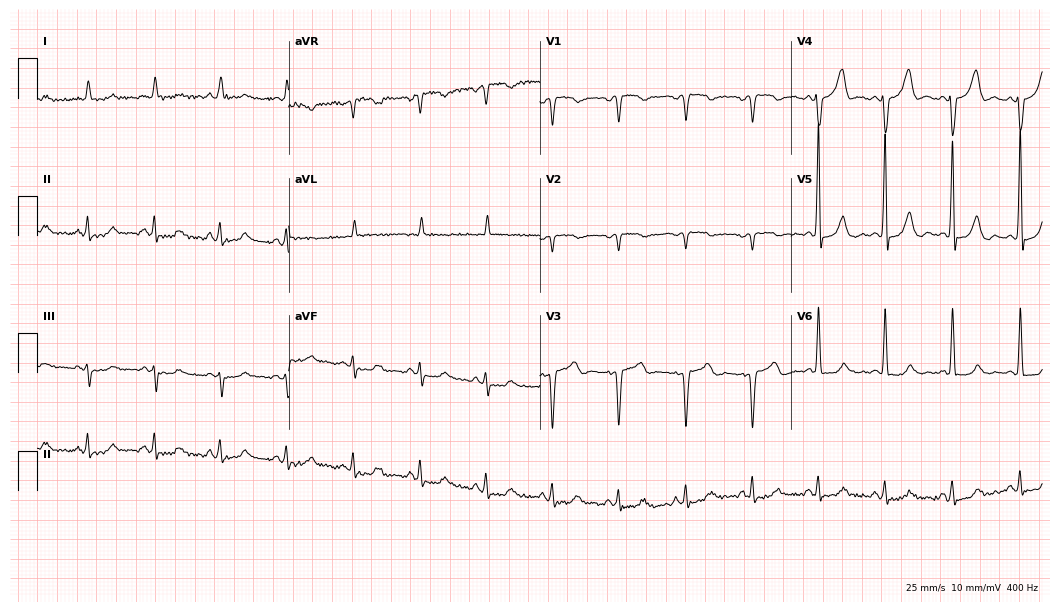
Resting 12-lead electrocardiogram (10.2-second recording at 400 Hz). Patient: an 83-year-old male. None of these six findings is recorded: first-degree AV block, right bundle branch block, left bundle branch block, sinus bradycardia, atrial fibrillation, sinus tachycardia.